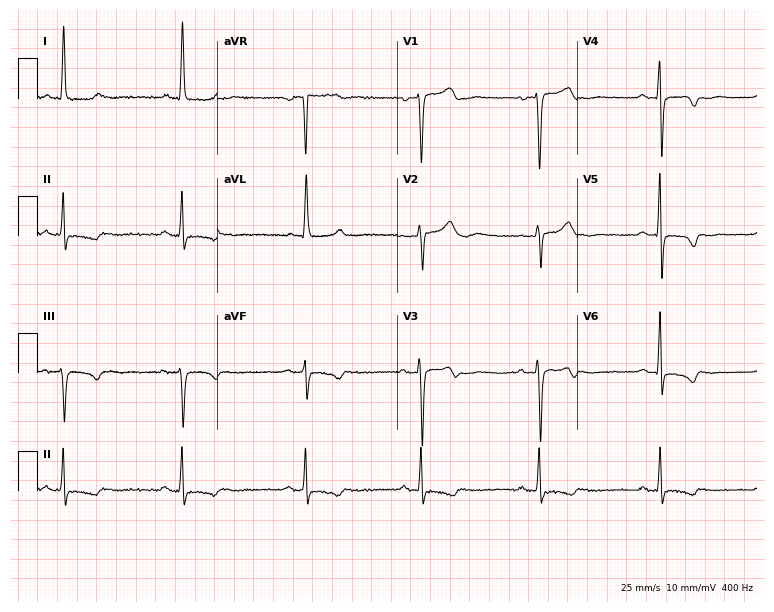
12-lead ECG from a 72-year-old female patient (7.3-second recording at 400 Hz). No first-degree AV block, right bundle branch block (RBBB), left bundle branch block (LBBB), sinus bradycardia, atrial fibrillation (AF) or sinus tachycardia recorded for this tracing. Only these six findings were labelled.